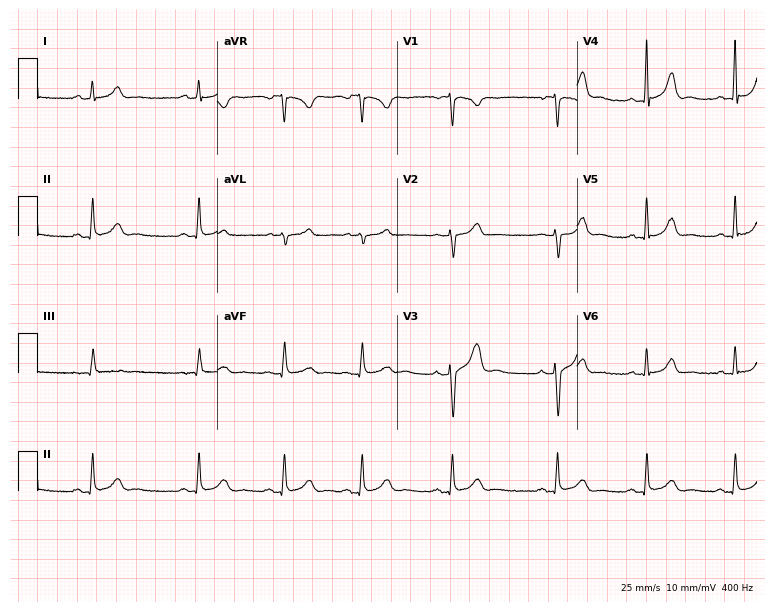
12-lead ECG from a female, 21 years old. Labelled as a normal ECG.